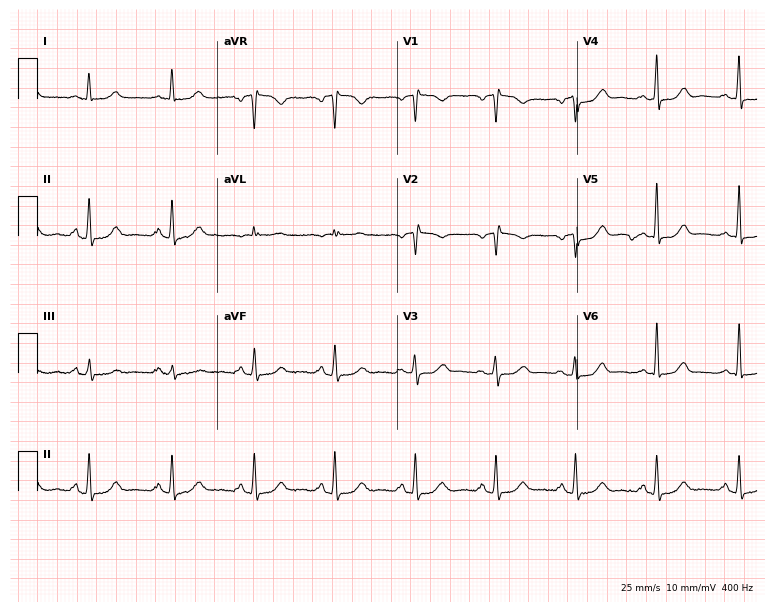
12-lead ECG from a female, 59 years old (7.3-second recording at 400 Hz). No first-degree AV block, right bundle branch block, left bundle branch block, sinus bradycardia, atrial fibrillation or sinus tachycardia recorded for this tracing.